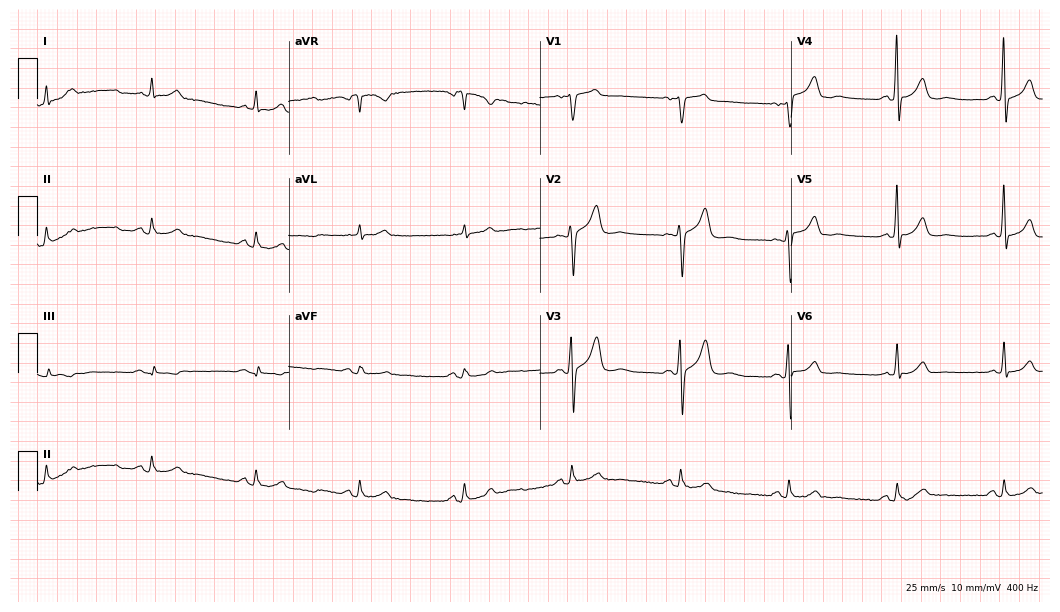
12-lead ECG from a 76-year-old male patient (10.2-second recording at 400 Hz). No first-degree AV block, right bundle branch block, left bundle branch block, sinus bradycardia, atrial fibrillation or sinus tachycardia recorded for this tracing. Other findings, if any, are not listed.